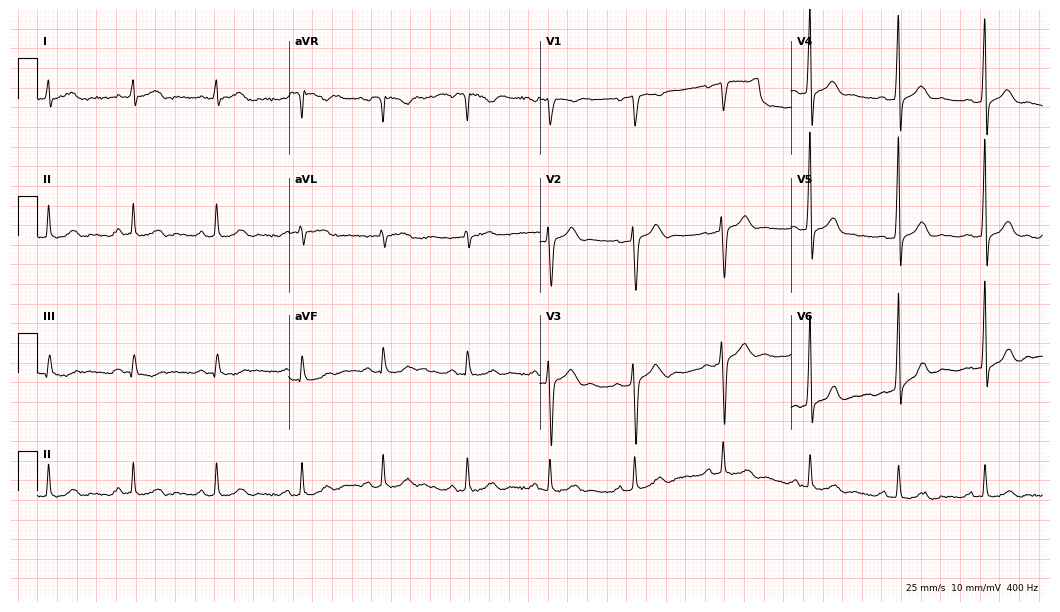
ECG (10.2-second recording at 400 Hz) — a man, 33 years old. Labelled as a normal ECG.